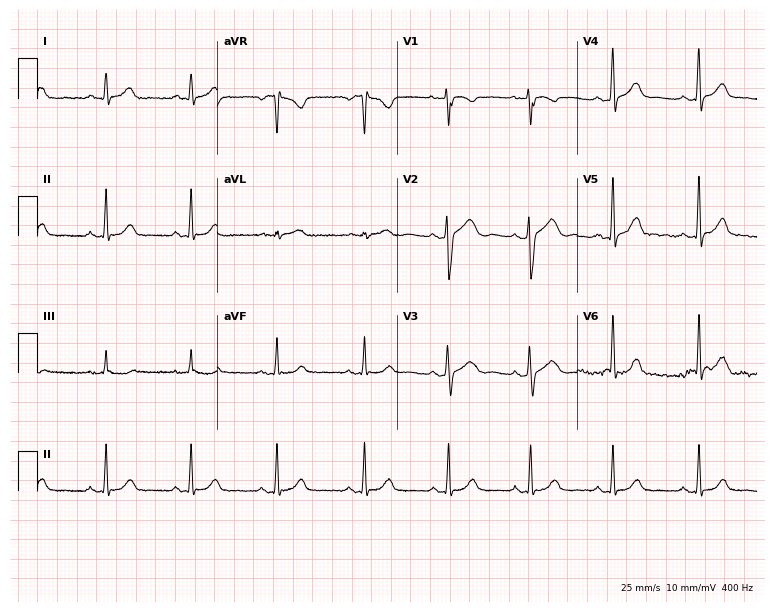
Resting 12-lead electrocardiogram. Patient: a 27-year-old woman. Read as a normal ECG.